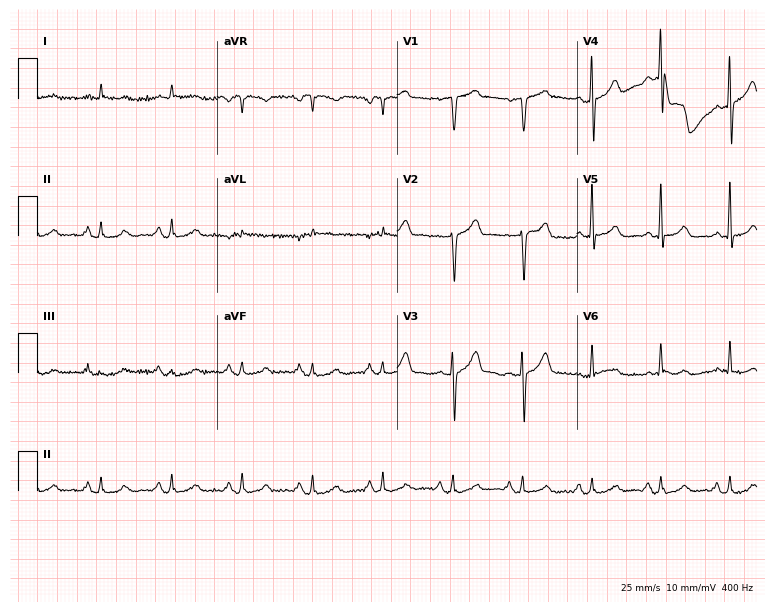
12-lead ECG from an 83-year-old male patient (7.3-second recording at 400 Hz). Recorded interpretation: within normal limits.